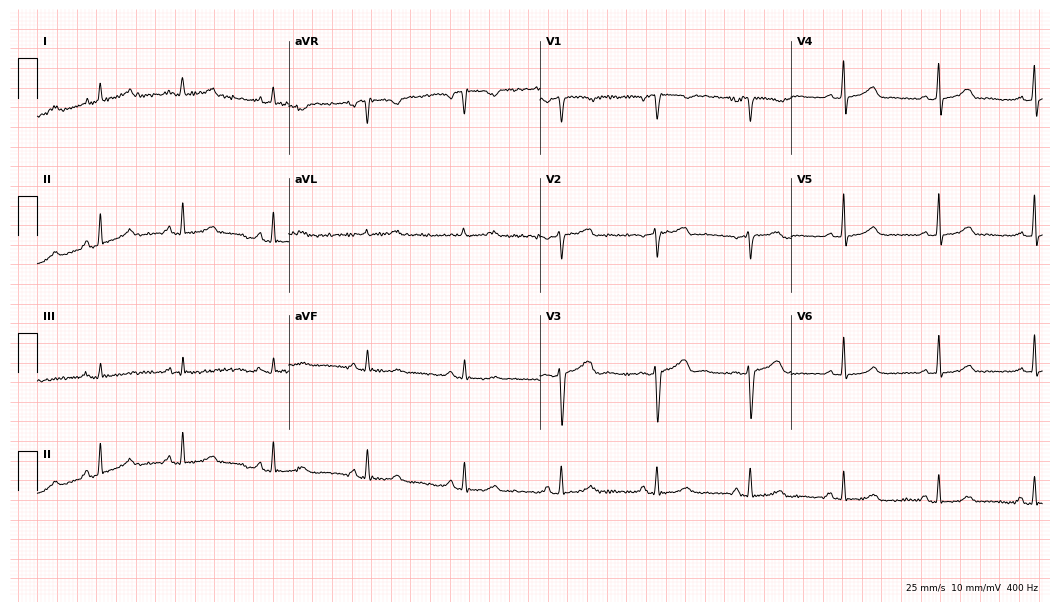
12-lead ECG from a 44-year-old female patient (10.2-second recording at 400 Hz). Recorded interpretation: within normal limits.